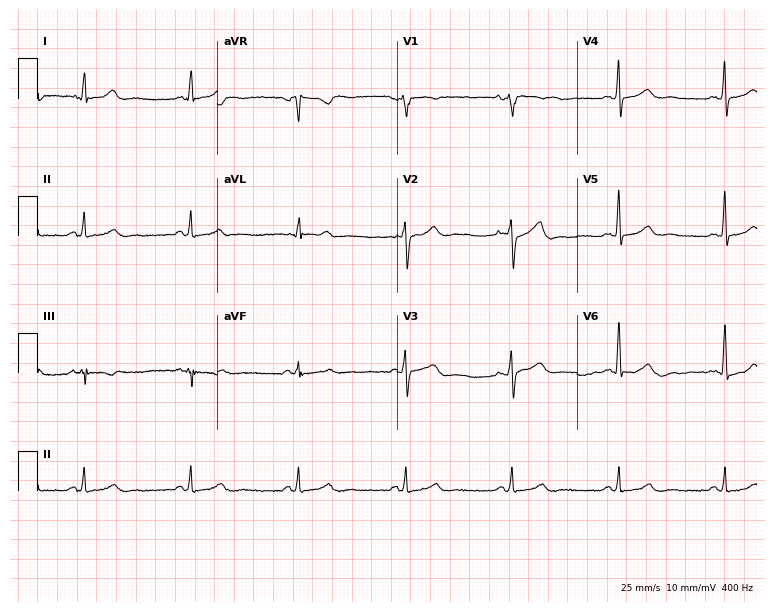
12-lead ECG from a woman, 44 years old. Screened for six findings — first-degree AV block, right bundle branch block, left bundle branch block, sinus bradycardia, atrial fibrillation, sinus tachycardia — none is recorded.